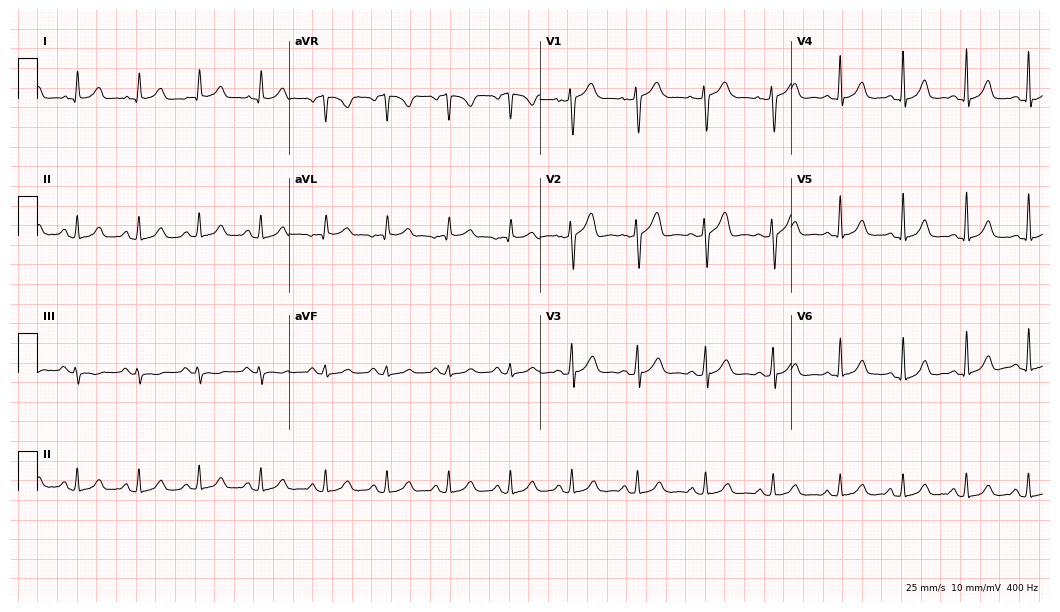
Resting 12-lead electrocardiogram. Patient: a woman, 53 years old. Read as a normal ECG.